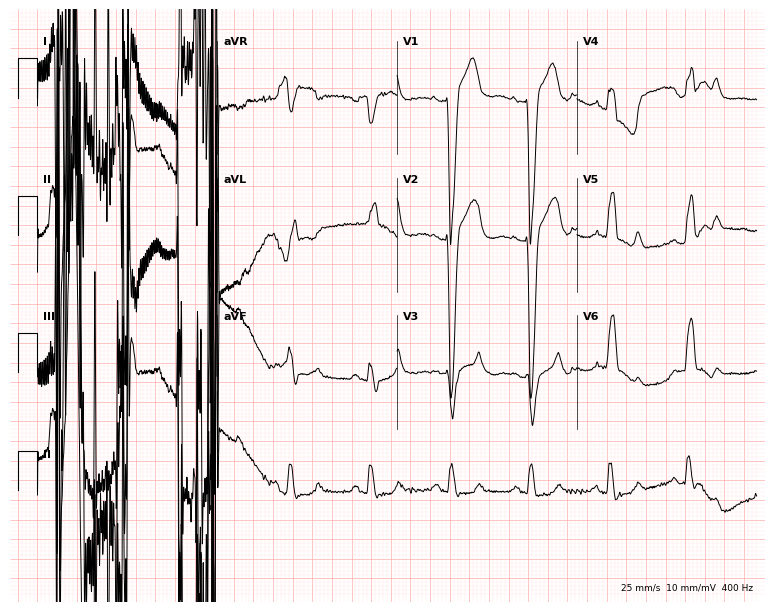
Resting 12-lead electrocardiogram (7.3-second recording at 400 Hz). Patient: a man, 77 years old. The tracing shows atrial fibrillation.